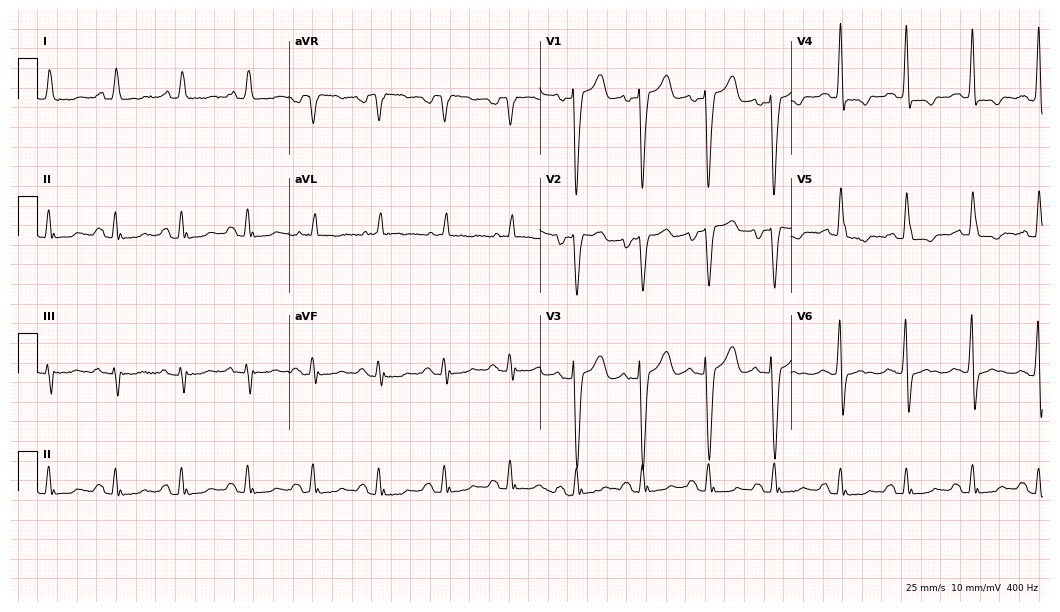
12-lead ECG (10.2-second recording at 400 Hz) from a 63-year-old woman. Screened for six findings — first-degree AV block, right bundle branch block, left bundle branch block, sinus bradycardia, atrial fibrillation, sinus tachycardia — none is recorded.